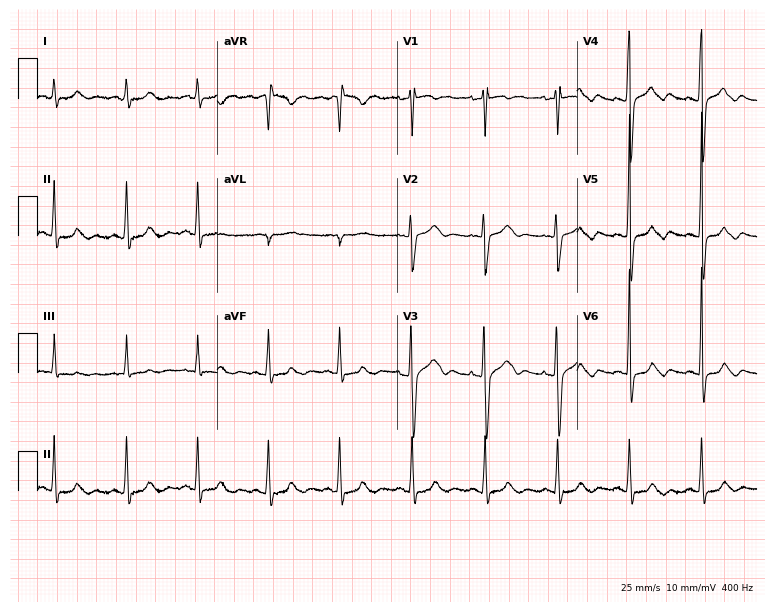
12-lead ECG from a 52-year-old woman. Screened for six findings — first-degree AV block, right bundle branch block, left bundle branch block, sinus bradycardia, atrial fibrillation, sinus tachycardia — none is recorded. Only these six findings were labelled.